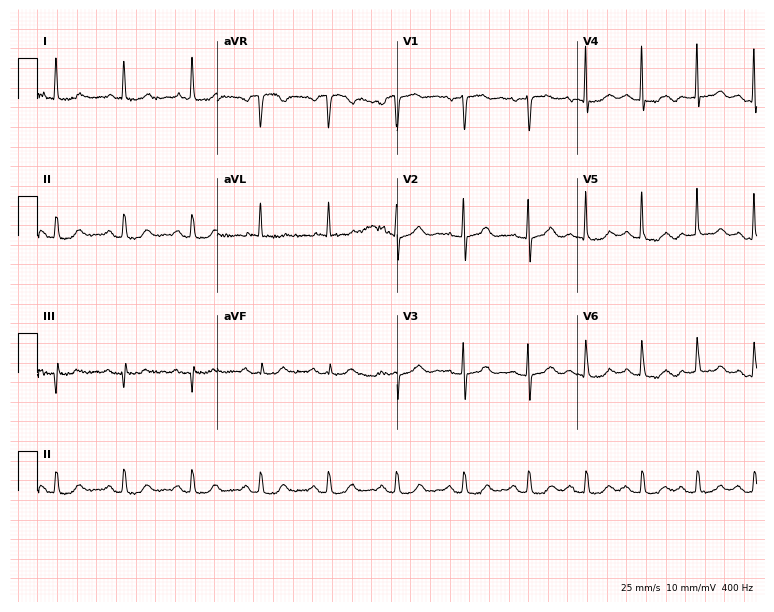
Resting 12-lead electrocardiogram. Patient: an 85-year-old woman. None of these six findings is recorded: first-degree AV block, right bundle branch block, left bundle branch block, sinus bradycardia, atrial fibrillation, sinus tachycardia.